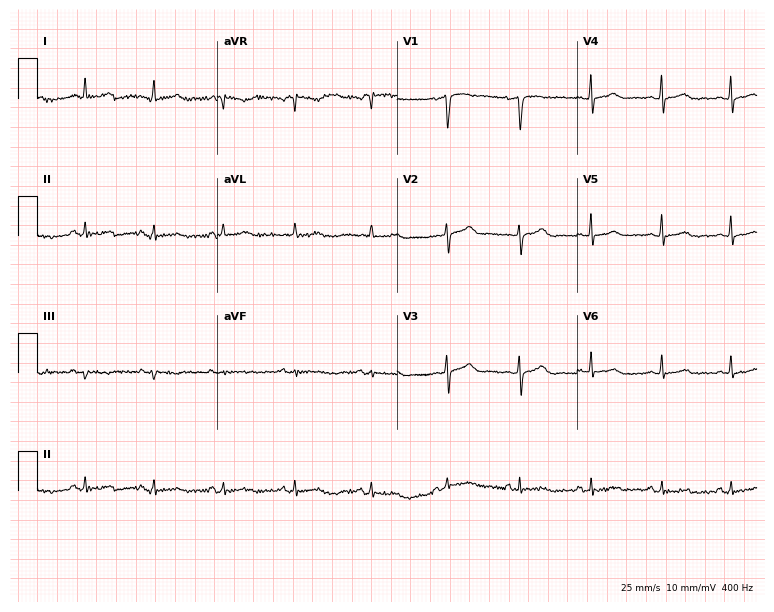
12-lead ECG from a 31-year-old female. Screened for six findings — first-degree AV block, right bundle branch block, left bundle branch block, sinus bradycardia, atrial fibrillation, sinus tachycardia — none is recorded. Findings outside these six are not listed.